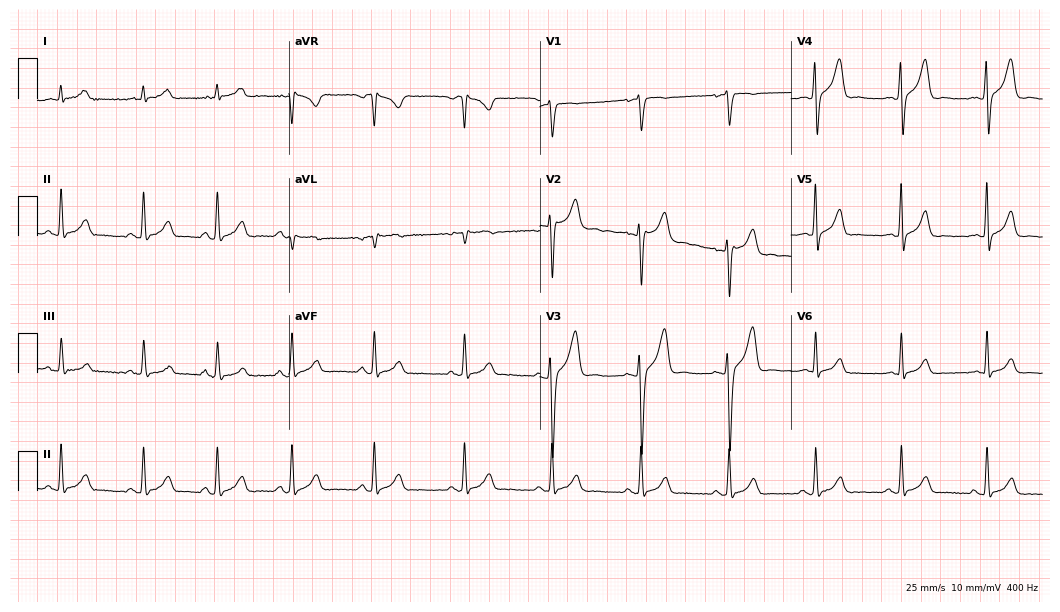
Standard 12-lead ECG recorded from a 28-year-old male (10.2-second recording at 400 Hz). Read as a normal ECG.